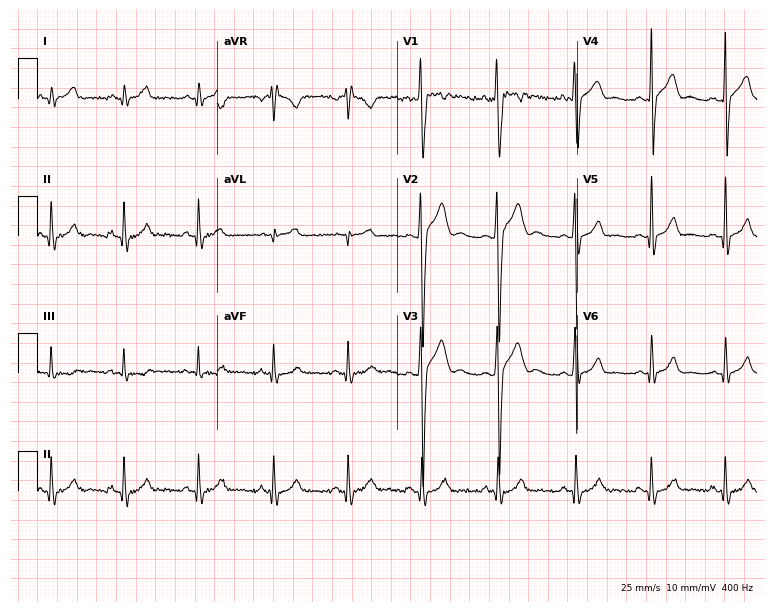
12-lead ECG from a 23-year-old man. No first-degree AV block, right bundle branch block, left bundle branch block, sinus bradycardia, atrial fibrillation or sinus tachycardia recorded for this tracing.